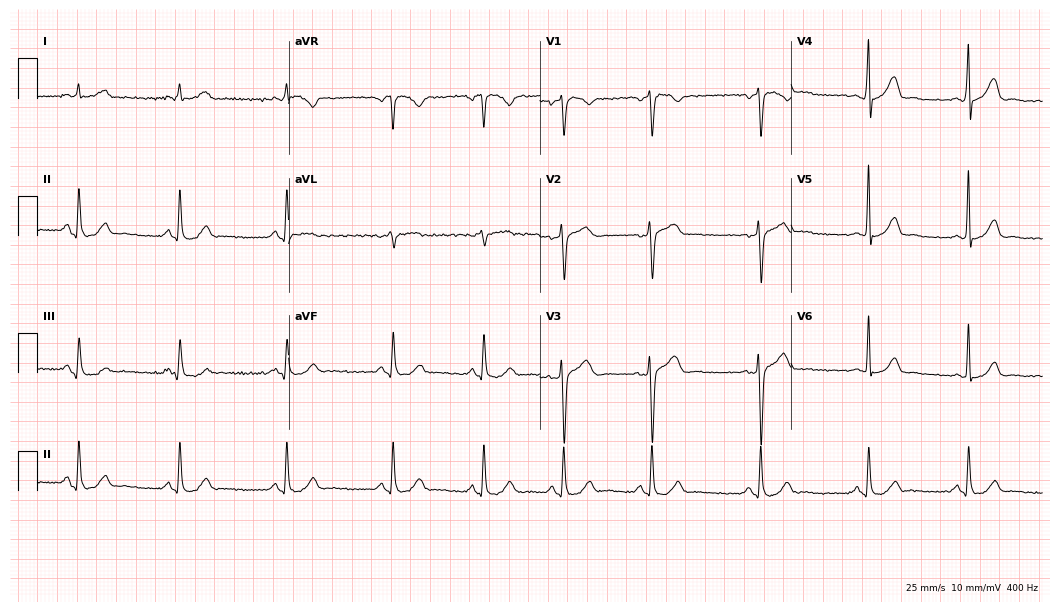
12-lead ECG from a male, 51 years old. Screened for six findings — first-degree AV block, right bundle branch block, left bundle branch block, sinus bradycardia, atrial fibrillation, sinus tachycardia — none is recorded.